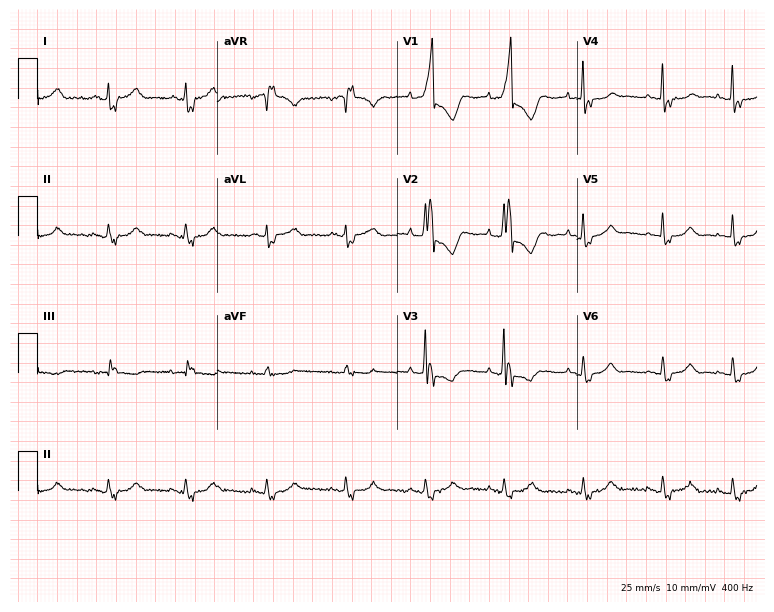
12-lead ECG from an 85-year-old female (7.3-second recording at 400 Hz). Shows right bundle branch block (RBBB).